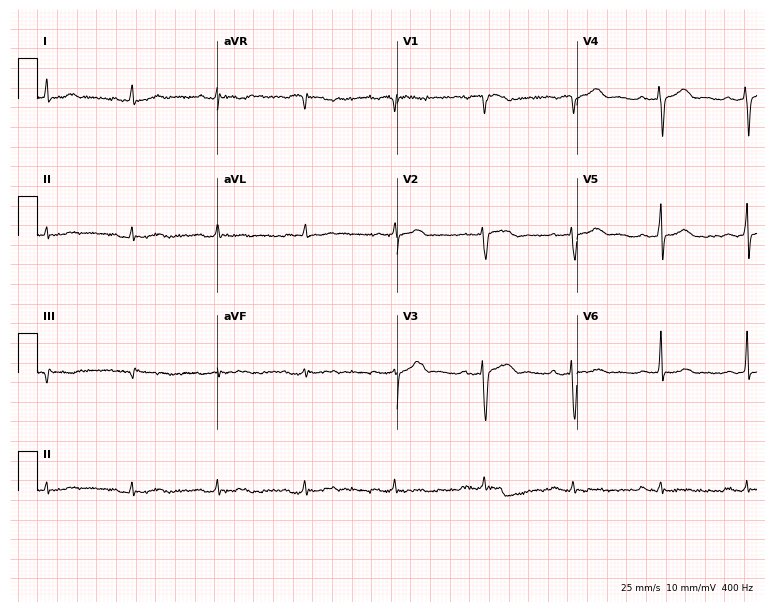
Standard 12-lead ECG recorded from a male patient, 57 years old. None of these six findings is recorded: first-degree AV block, right bundle branch block, left bundle branch block, sinus bradycardia, atrial fibrillation, sinus tachycardia.